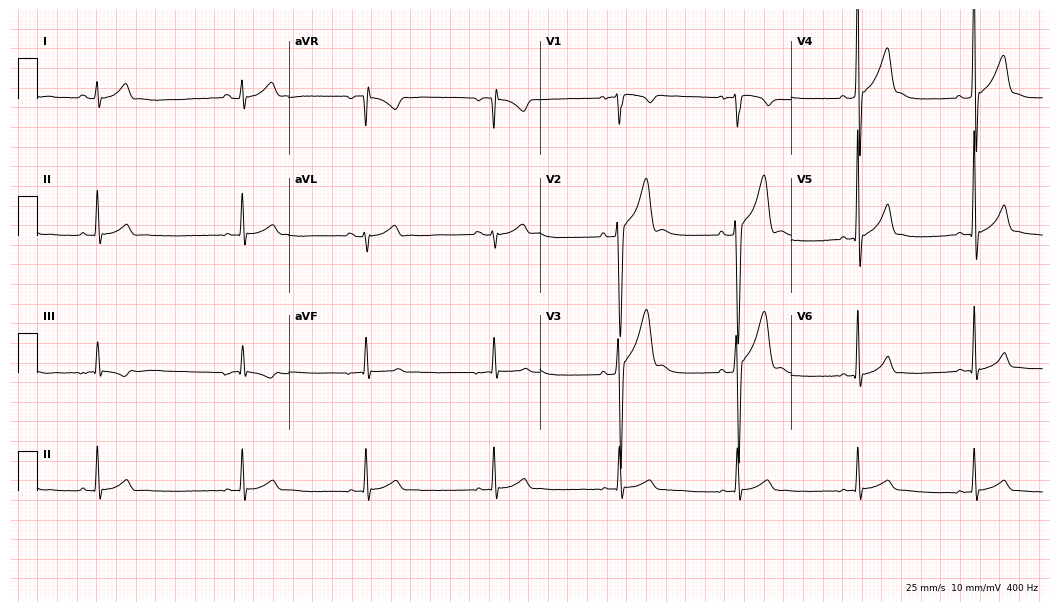
12-lead ECG from a male, 17 years old. Labelled as a normal ECG.